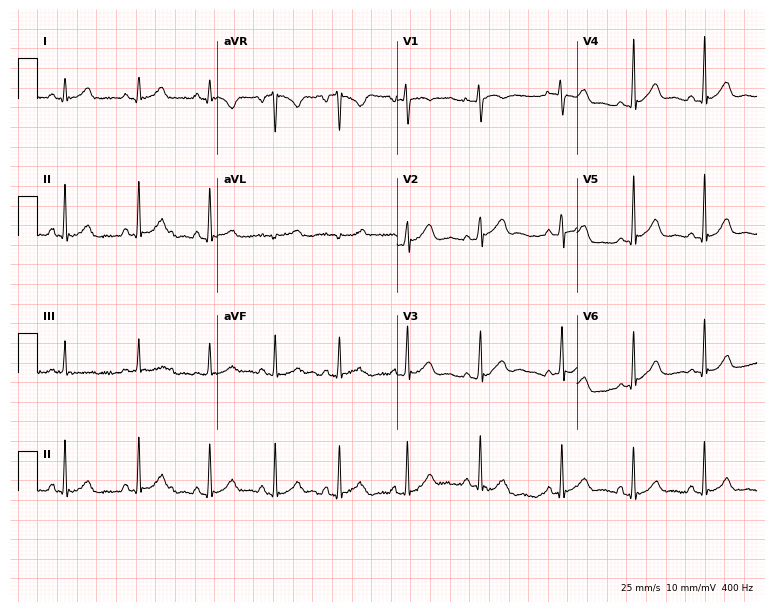
12-lead ECG from a female, 17 years old (7.3-second recording at 400 Hz). No first-degree AV block, right bundle branch block, left bundle branch block, sinus bradycardia, atrial fibrillation or sinus tachycardia recorded for this tracing. Other findings, if any, are not listed.